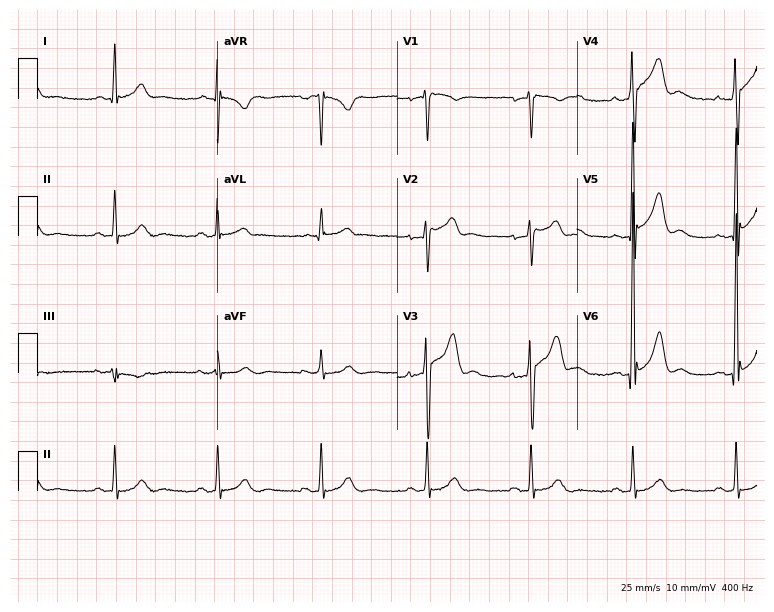
Resting 12-lead electrocardiogram (7.3-second recording at 400 Hz). Patient: a 68-year-old male. None of these six findings is recorded: first-degree AV block, right bundle branch block, left bundle branch block, sinus bradycardia, atrial fibrillation, sinus tachycardia. Only these six findings were labelled.